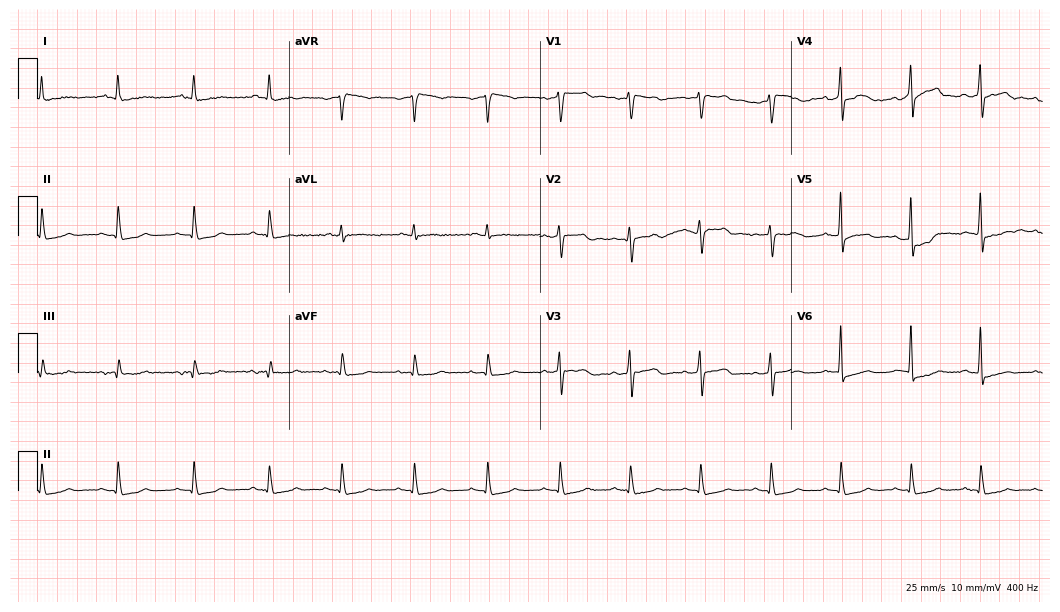
12-lead ECG (10.2-second recording at 400 Hz) from a male, 75 years old. Screened for six findings — first-degree AV block, right bundle branch block, left bundle branch block, sinus bradycardia, atrial fibrillation, sinus tachycardia — none is recorded.